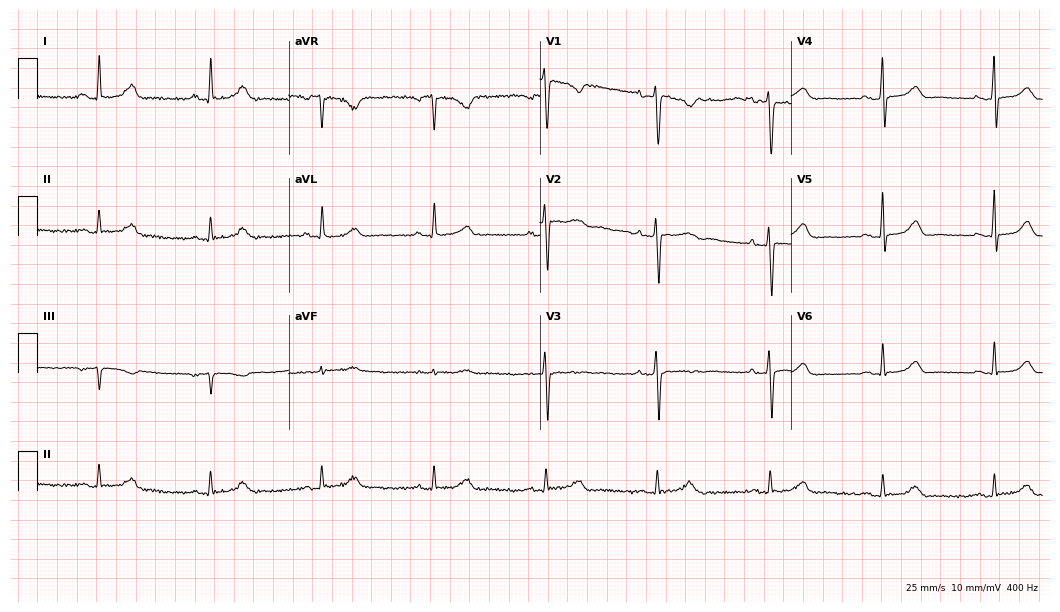
12-lead ECG from a female patient, 47 years old. Labelled as a normal ECG.